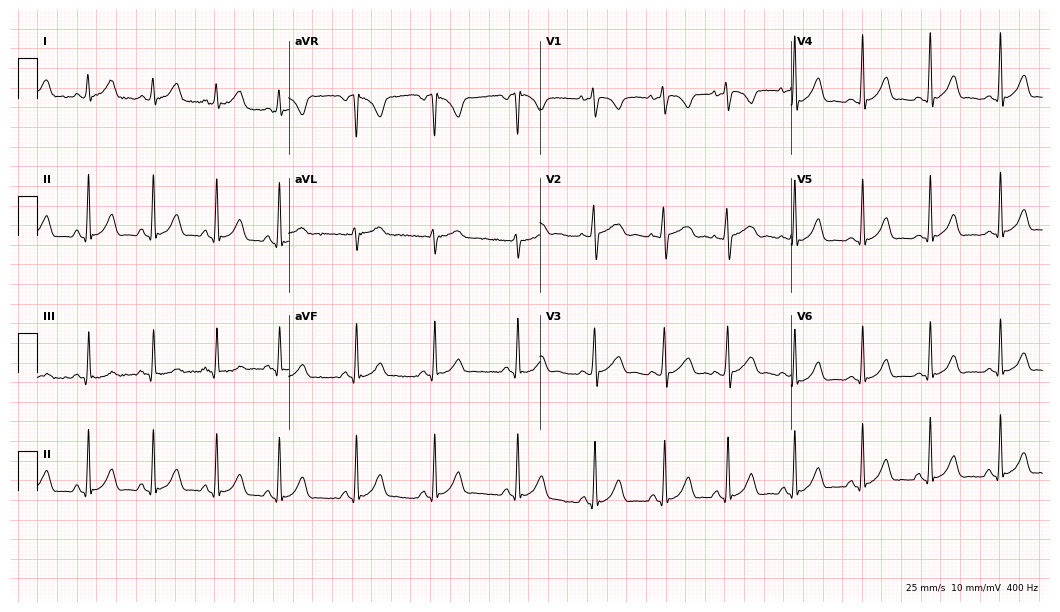
12-lead ECG from a woman, 22 years old. Screened for six findings — first-degree AV block, right bundle branch block (RBBB), left bundle branch block (LBBB), sinus bradycardia, atrial fibrillation (AF), sinus tachycardia — none is recorded. Findings outside these six are not listed.